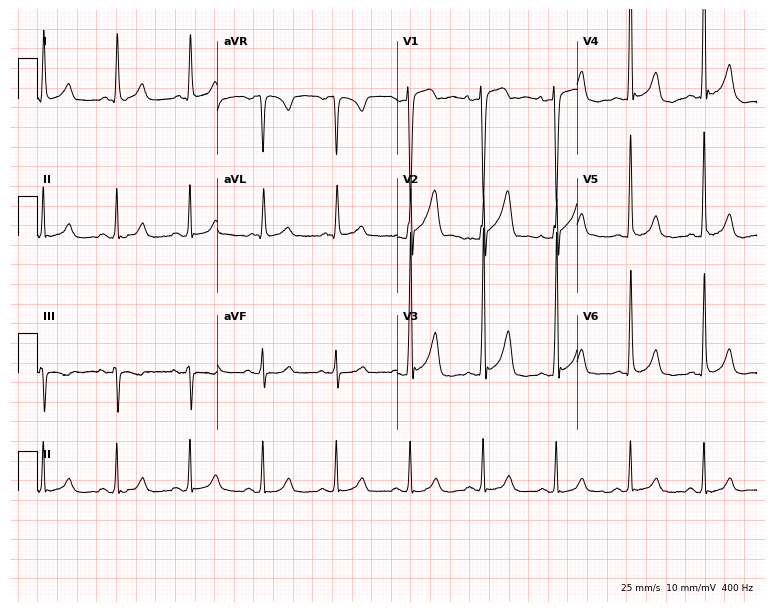
12-lead ECG from a man, 52 years old. No first-degree AV block, right bundle branch block, left bundle branch block, sinus bradycardia, atrial fibrillation or sinus tachycardia recorded for this tracing.